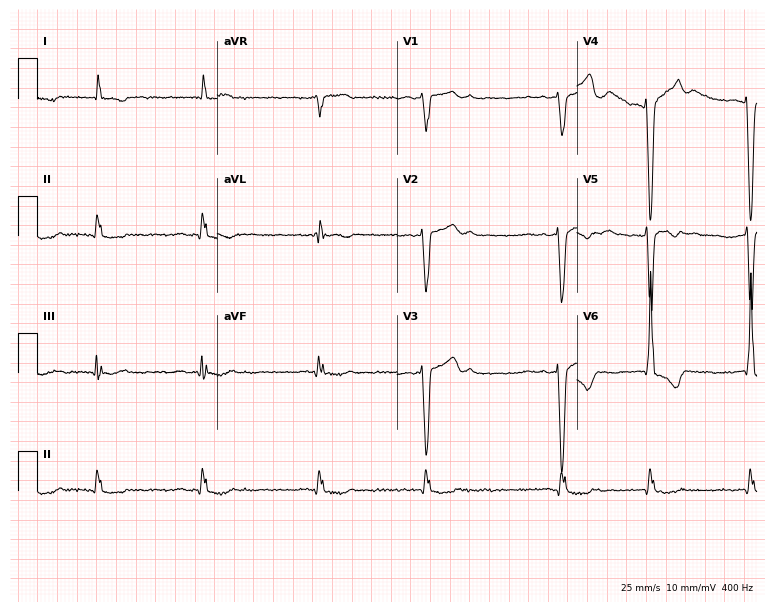
Standard 12-lead ECG recorded from a man, 79 years old (7.3-second recording at 400 Hz). The tracing shows atrial fibrillation.